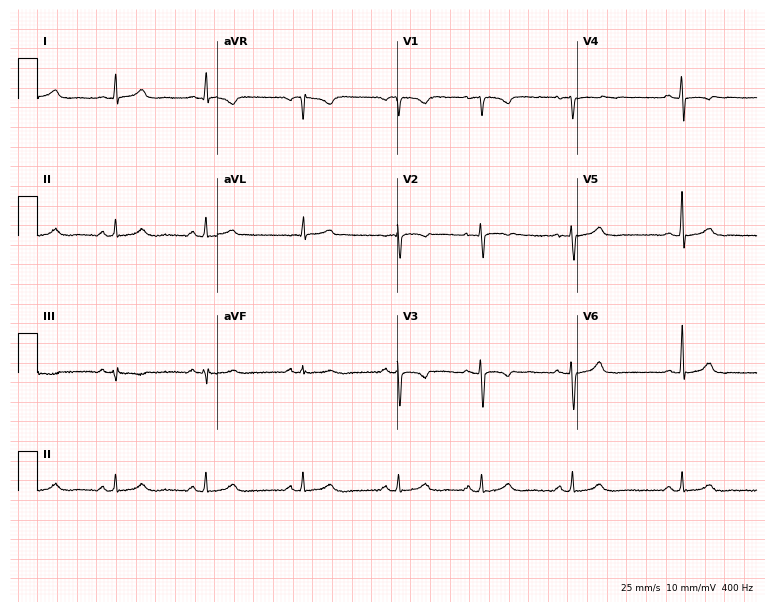
Resting 12-lead electrocardiogram (7.3-second recording at 400 Hz). Patient: a female, 28 years old. None of these six findings is recorded: first-degree AV block, right bundle branch block, left bundle branch block, sinus bradycardia, atrial fibrillation, sinus tachycardia. Other findings, if any, are not listed.